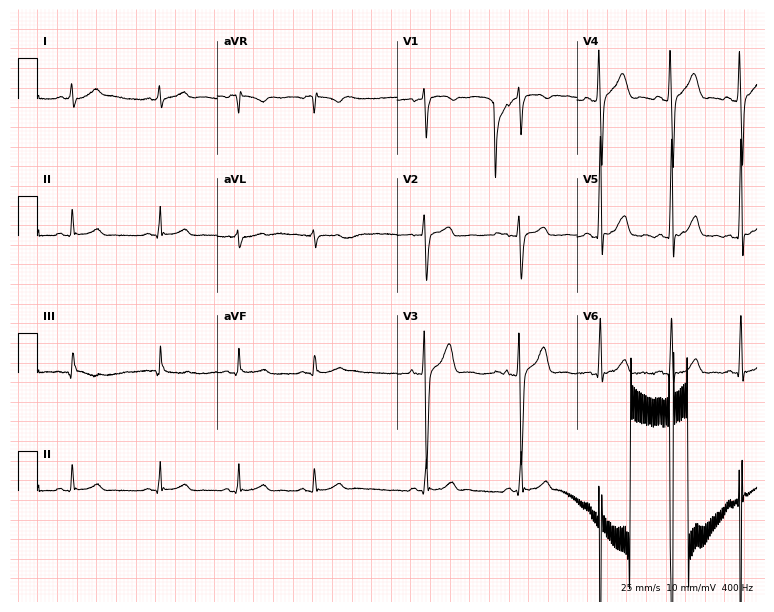
Resting 12-lead electrocardiogram (7.3-second recording at 400 Hz). Patient: a man, 24 years old. None of these six findings is recorded: first-degree AV block, right bundle branch block, left bundle branch block, sinus bradycardia, atrial fibrillation, sinus tachycardia.